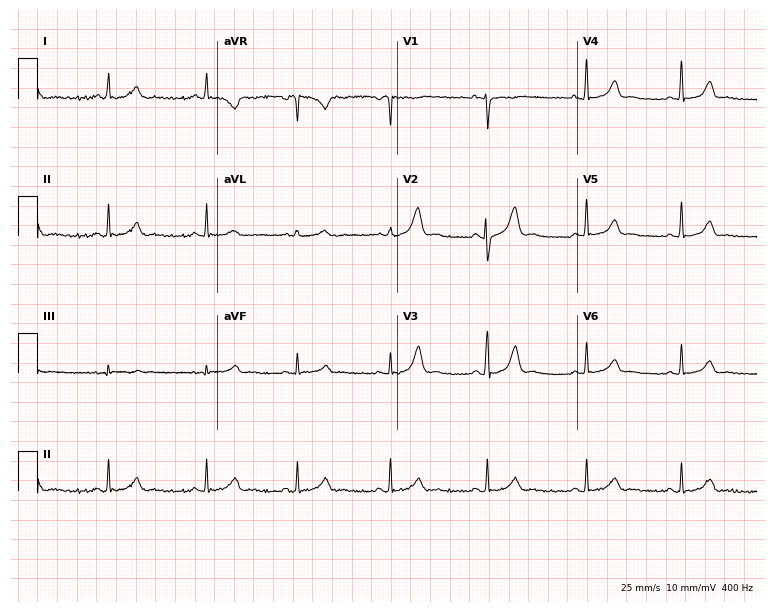
Electrocardiogram, a 27-year-old female patient. Overall reading on record: normal ECG.